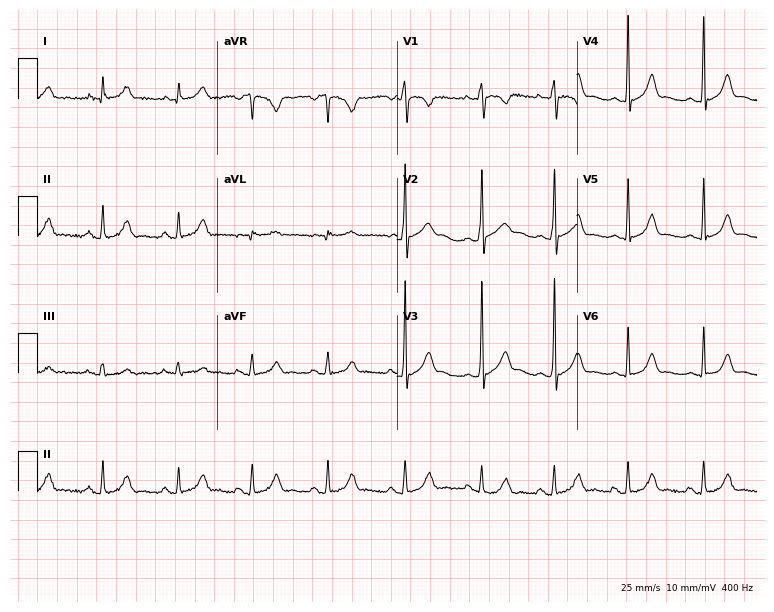
12-lead ECG from a 23-year-old female patient. Labelled as a normal ECG.